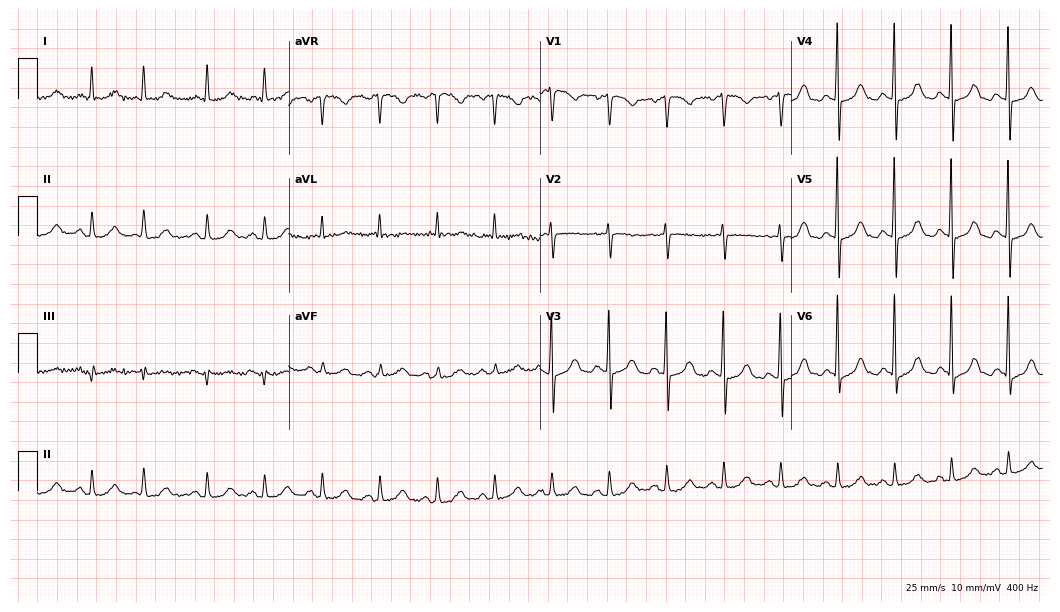
12-lead ECG (10.2-second recording at 400 Hz) from a 78-year-old female. Findings include sinus tachycardia (a sinus rate of 100 beats per minute or more).